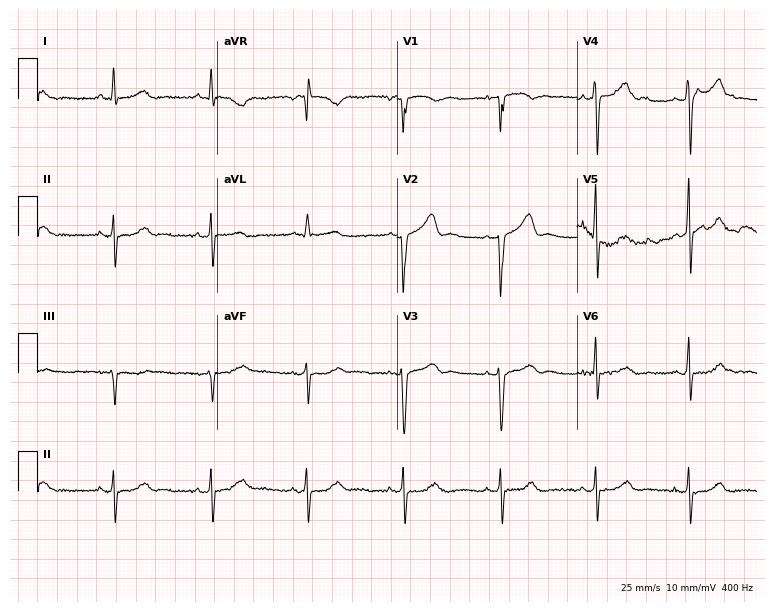
ECG — a woman, 76 years old. Screened for six findings — first-degree AV block, right bundle branch block, left bundle branch block, sinus bradycardia, atrial fibrillation, sinus tachycardia — none is recorded. Other findings, if any, are not listed.